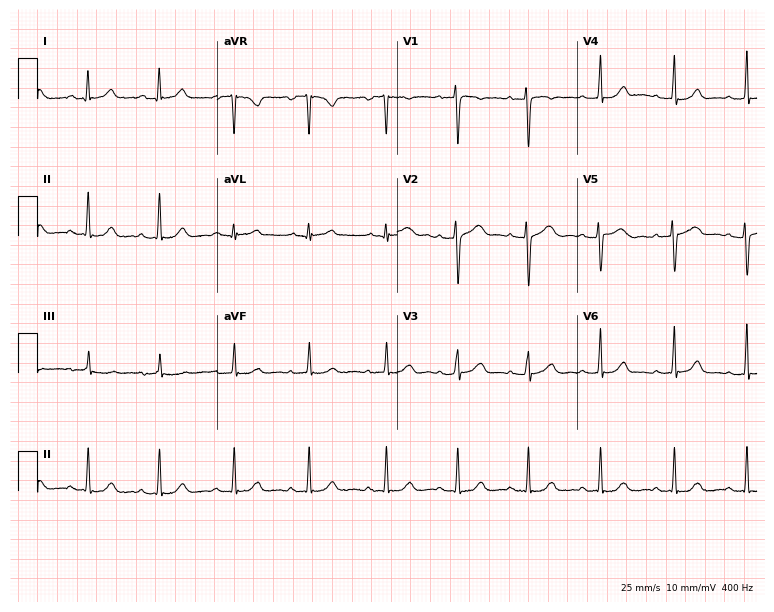
ECG (7.3-second recording at 400 Hz) — a 38-year-old female. Labelled as a normal ECG.